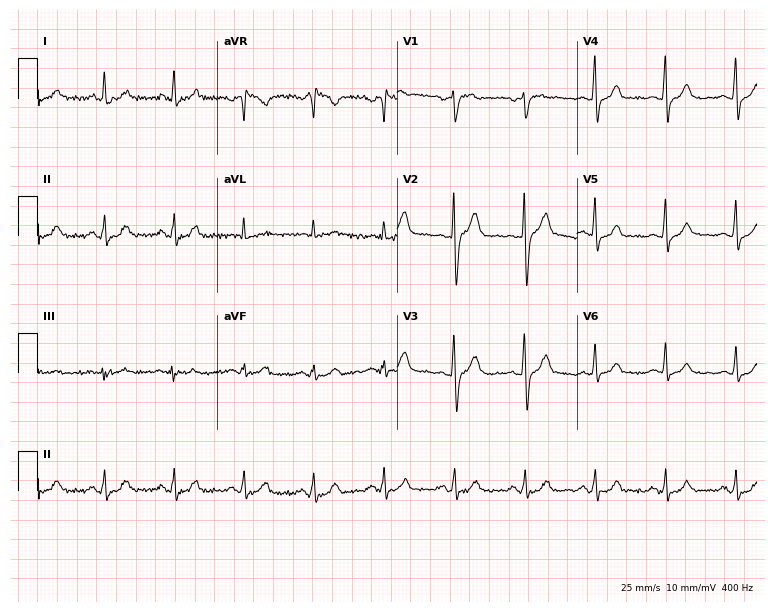
ECG (7.3-second recording at 400 Hz) — a 64-year-old male patient. Labelled as a normal ECG.